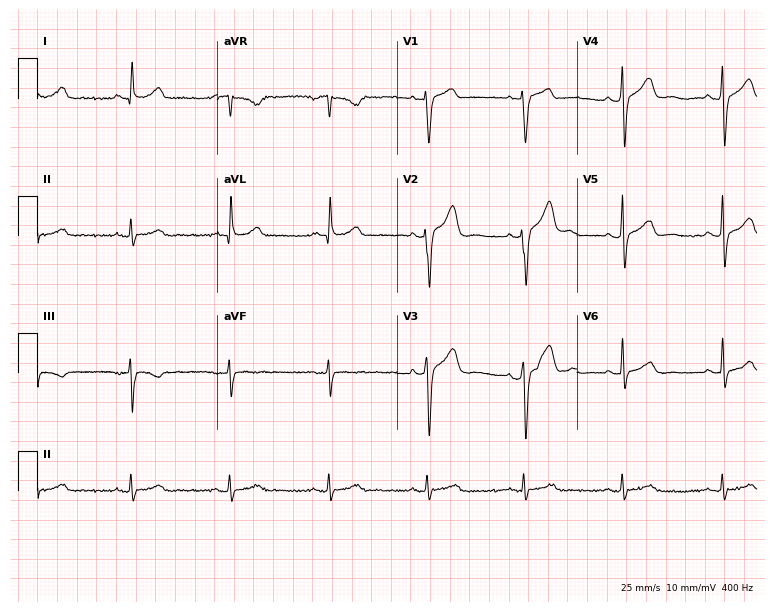
Standard 12-lead ECG recorded from a man, 62 years old (7.3-second recording at 400 Hz). None of these six findings is recorded: first-degree AV block, right bundle branch block, left bundle branch block, sinus bradycardia, atrial fibrillation, sinus tachycardia.